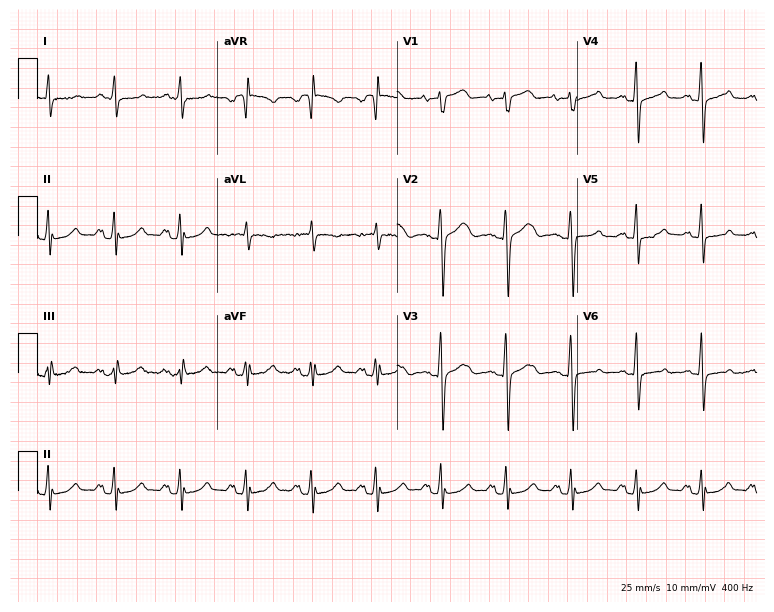
Standard 12-lead ECG recorded from a woman, 85 years old. None of these six findings is recorded: first-degree AV block, right bundle branch block, left bundle branch block, sinus bradycardia, atrial fibrillation, sinus tachycardia.